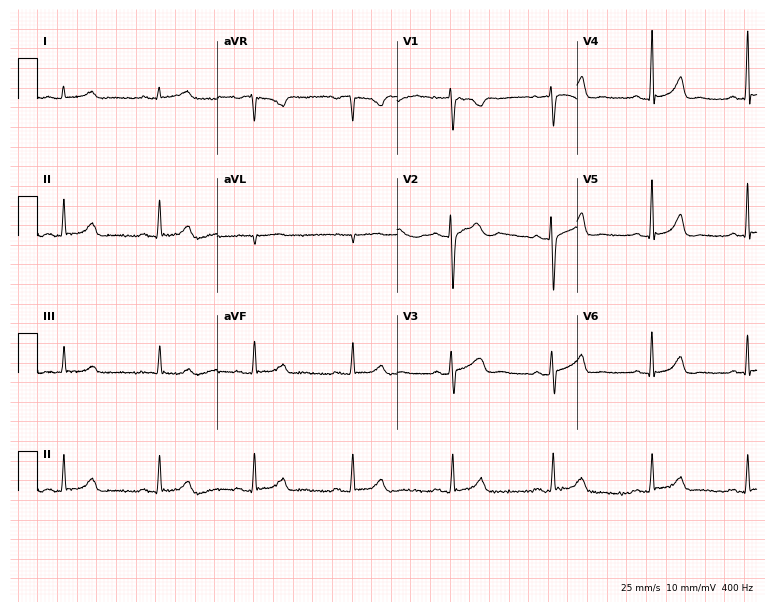
12-lead ECG from a female, 38 years old (7.3-second recording at 400 Hz). No first-degree AV block, right bundle branch block (RBBB), left bundle branch block (LBBB), sinus bradycardia, atrial fibrillation (AF) or sinus tachycardia recorded for this tracing.